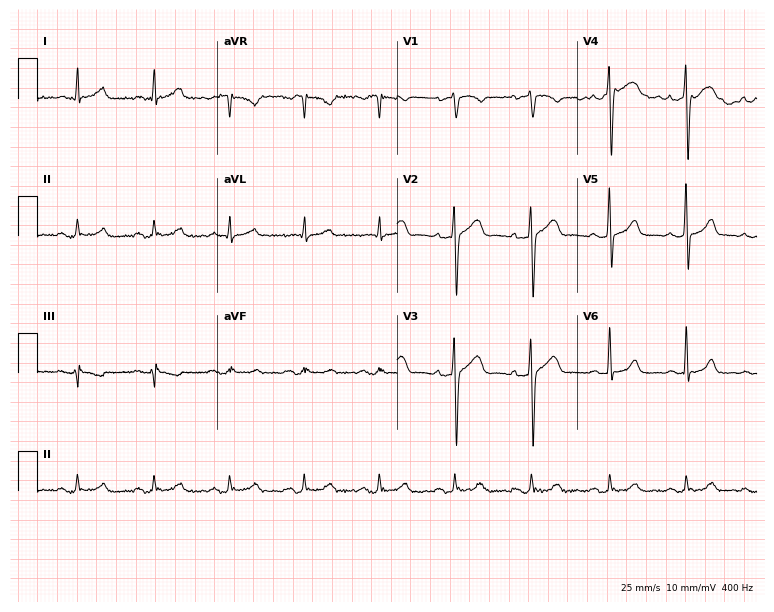
12-lead ECG from a male, 51 years old (7.3-second recording at 400 Hz). Recorded interpretation: within normal limits.